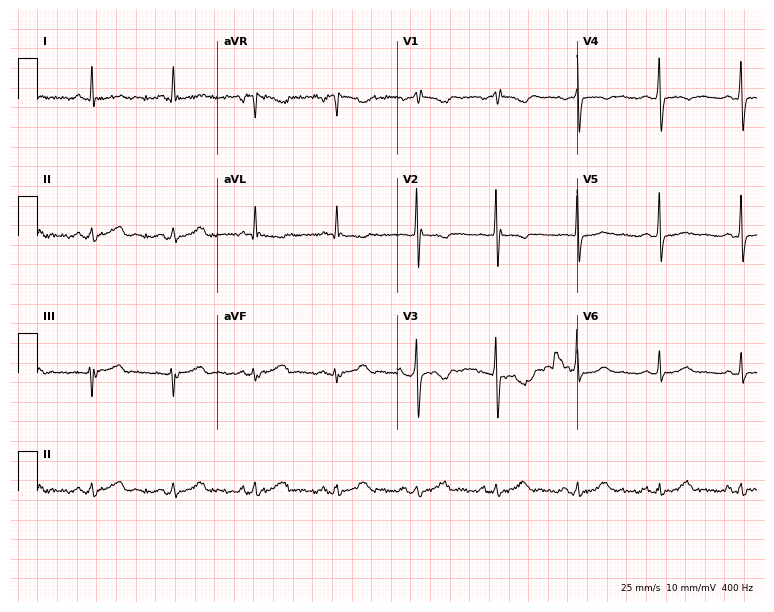
Electrocardiogram, a 63-year-old female patient. Of the six screened findings (first-degree AV block, right bundle branch block (RBBB), left bundle branch block (LBBB), sinus bradycardia, atrial fibrillation (AF), sinus tachycardia), none is recorded.